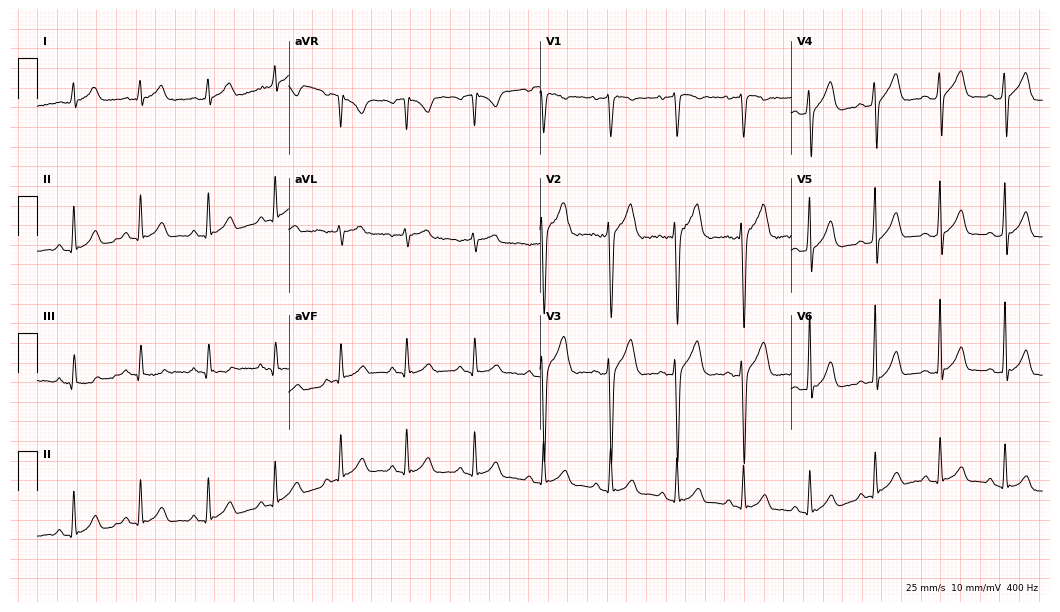
Resting 12-lead electrocardiogram. Patient: a male, 38 years old. None of these six findings is recorded: first-degree AV block, right bundle branch block, left bundle branch block, sinus bradycardia, atrial fibrillation, sinus tachycardia. Only these six findings were labelled.